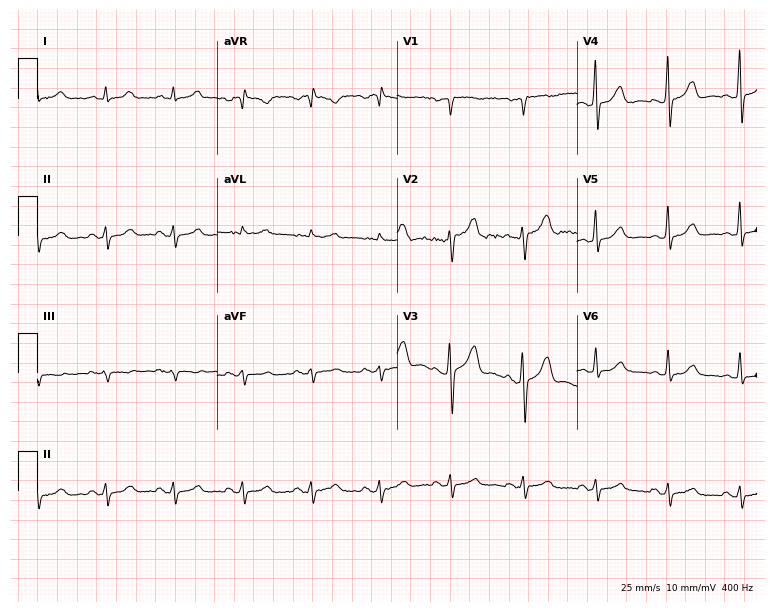
12-lead ECG from a 43-year-old male (7.3-second recording at 400 Hz). No first-degree AV block, right bundle branch block (RBBB), left bundle branch block (LBBB), sinus bradycardia, atrial fibrillation (AF) or sinus tachycardia recorded for this tracing. Other findings, if any, are not listed.